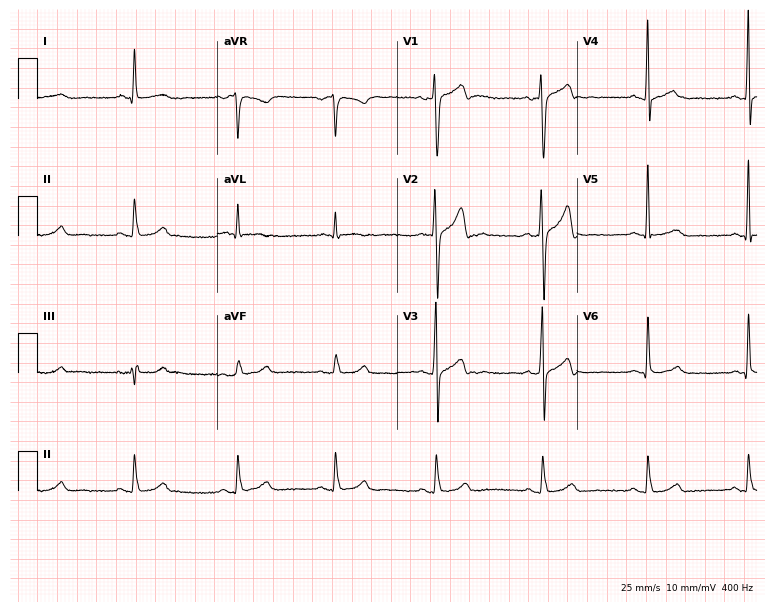
Resting 12-lead electrocardiogram. Patient: a 29-year-old man. Read as a normal ECG.